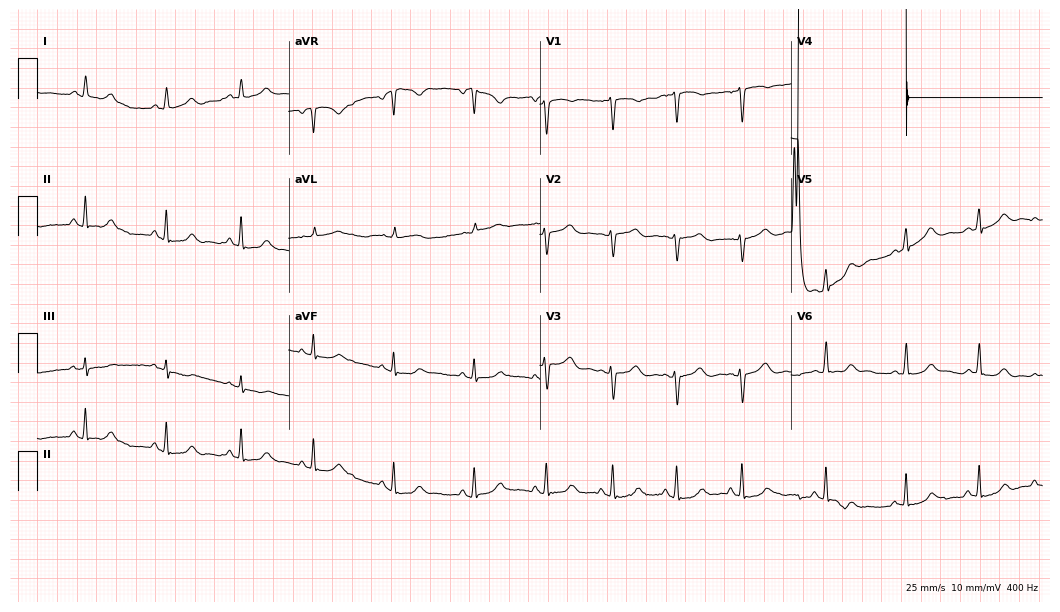
12-lead ECG from a woman, 37 years old (10.2-second recording at 400 Hz). No first-degree AV block, right bundle branch block (RBBB), left bundle branch block (LBBB), sinus bradycardia, atrial fibrillation (AF) or sinus tachycardia recorded for this tracing. Findings outside these six are not listed.